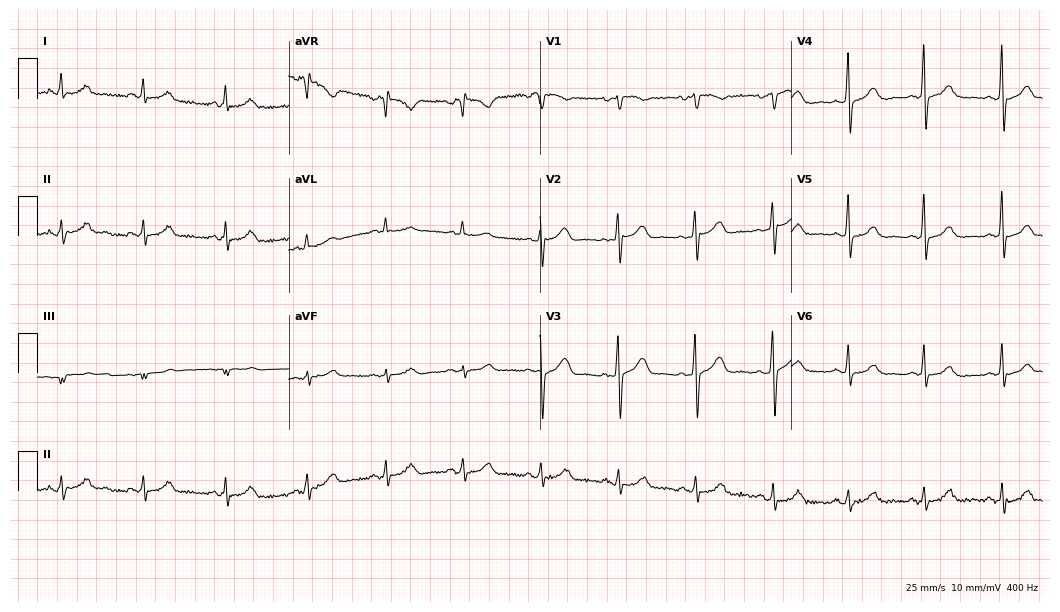
12-lead ECG from a female, 50 years old. Labelled as a normal ECG.